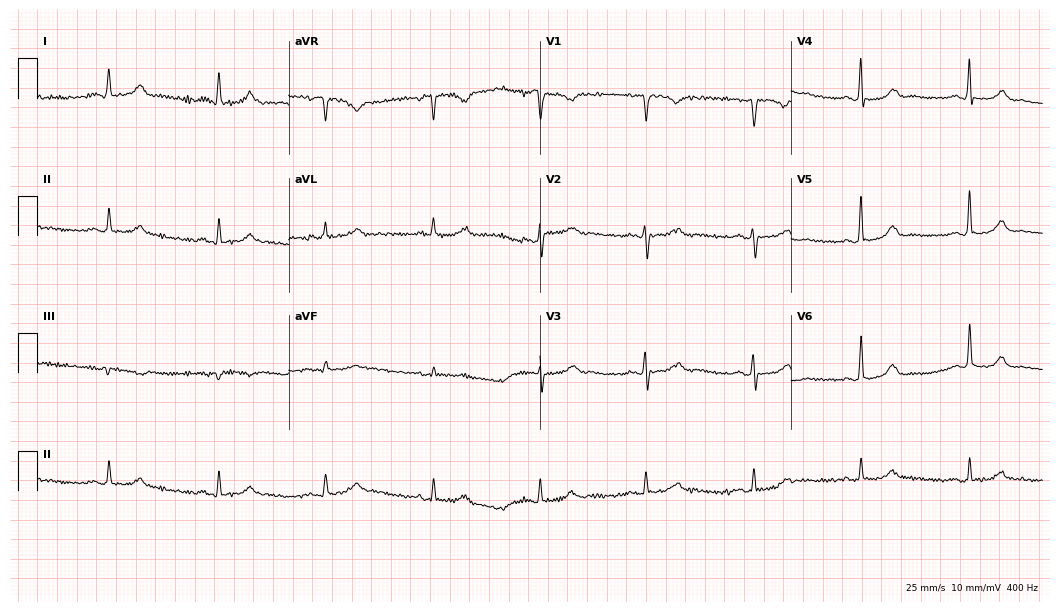
Standard 12-lead ECG recorded from a female, 57 years old (10.2-second recording at 400 Hz). None of these six findings is recorded: first-degree AV block, right bundle branch block (RBBB), left bundle branch block (LBBB), sinus bradycardia, atrial fibrillation (AF), sinus tachycardia. Only these six findings were labelled.